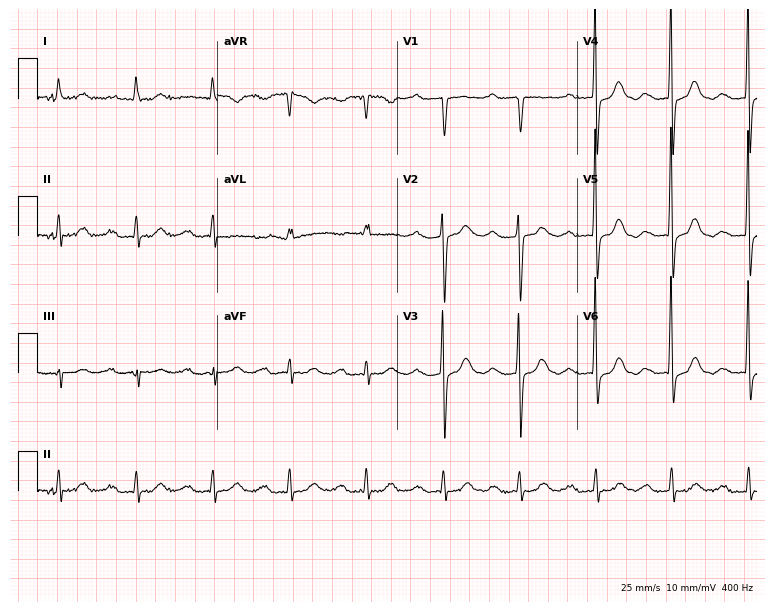
Standard 12-lead ECG recorded from a female, 78 years old. The tracing shows first-degree AV block.